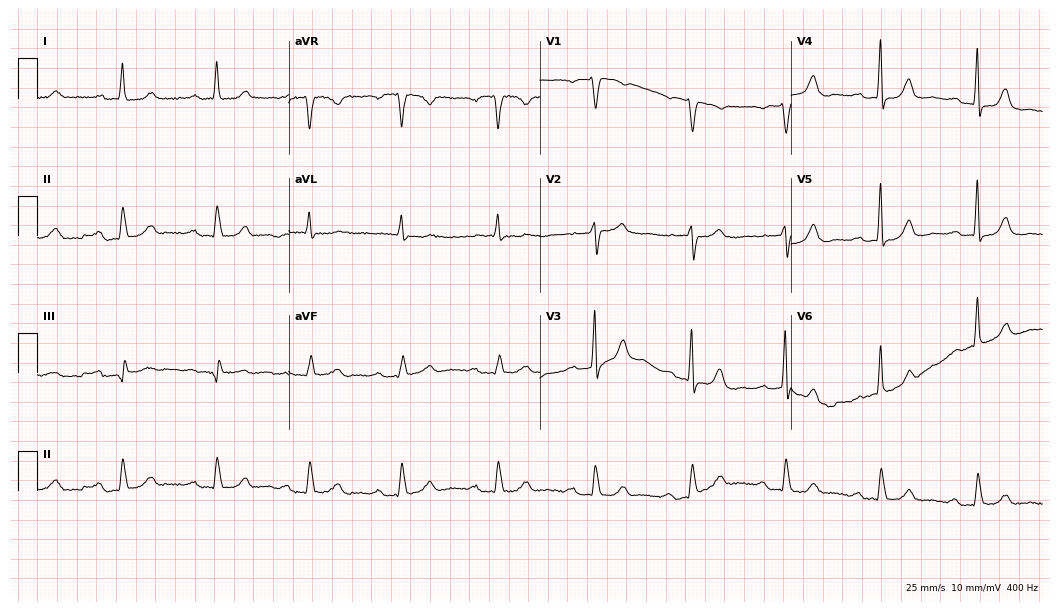
ECG — a 67-year-old female patient. Labelled as a normal ECG.